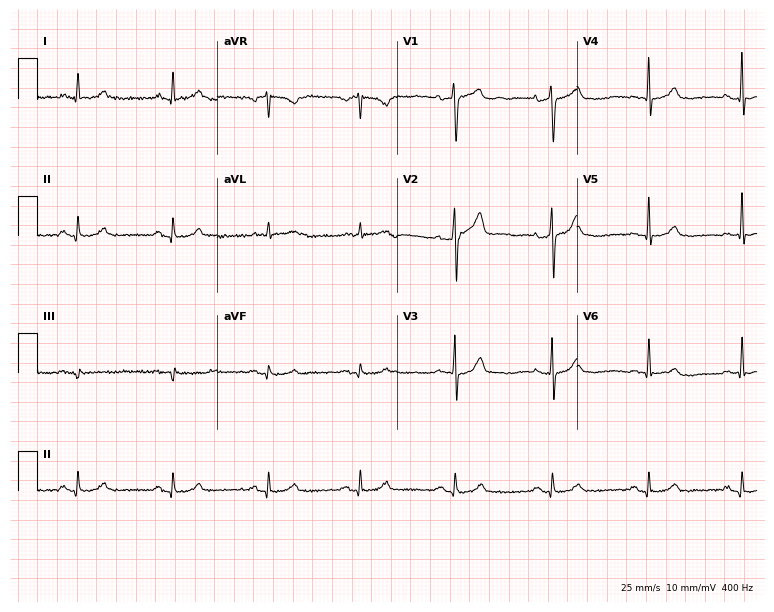
ECG — a 56-year-old man. Labelled as a normal ECG.